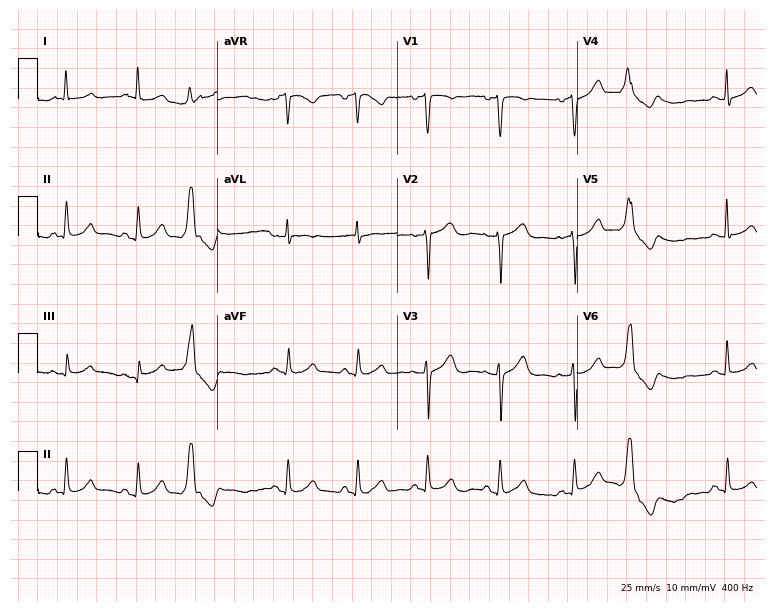
12-lead ECG (7.3-second recording at 400 Hz) from a 59-year-old woman. Screened for six findings — first-degree AV block, right bundle branch block, left bundle branch block, sinus bradycardia, atrial fibrillation, sinus tachycardia — none is recorded.